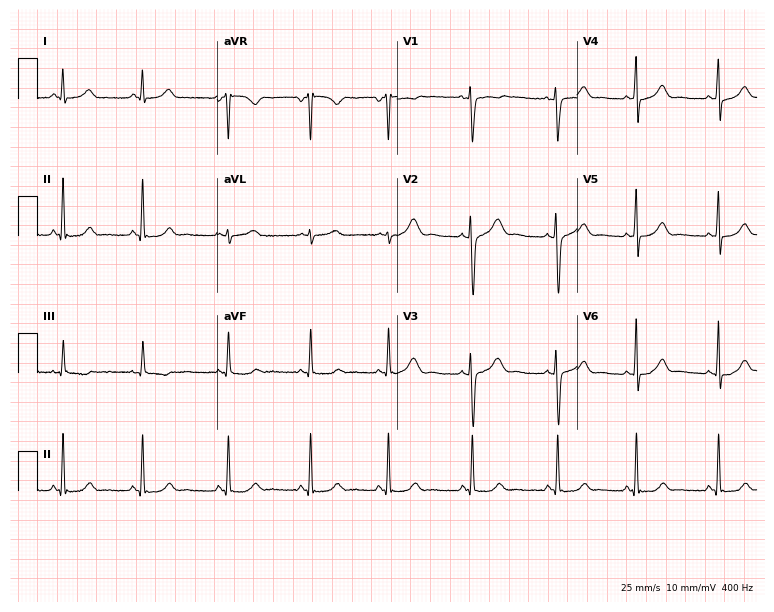
ECG — a 25-year-old female. Labelled as a normal ECG.